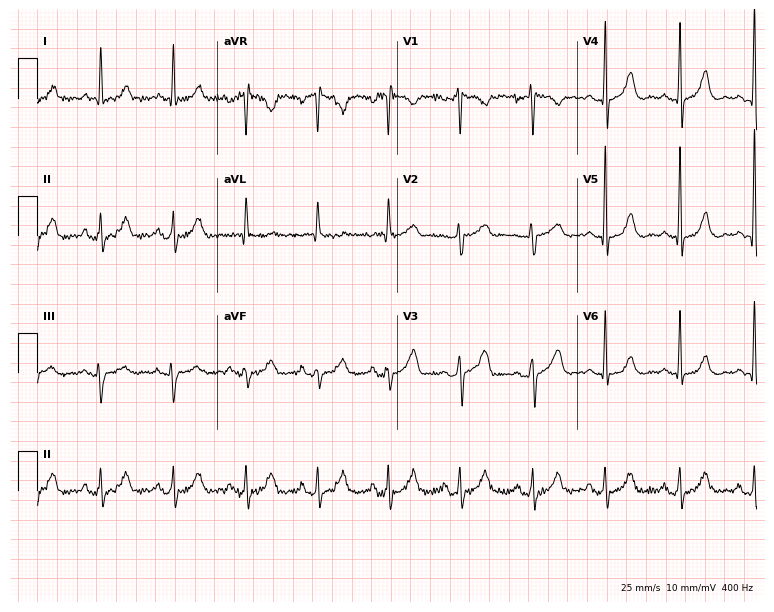
ECG — a woman, 60 years old. Screened for six findings — first-degree AV block, right bundle branch block, left bundle branch block, sinus bradycardia, atrial fibrillation, sinus tachycardia — none is recorded. Only these six findings were labelled.